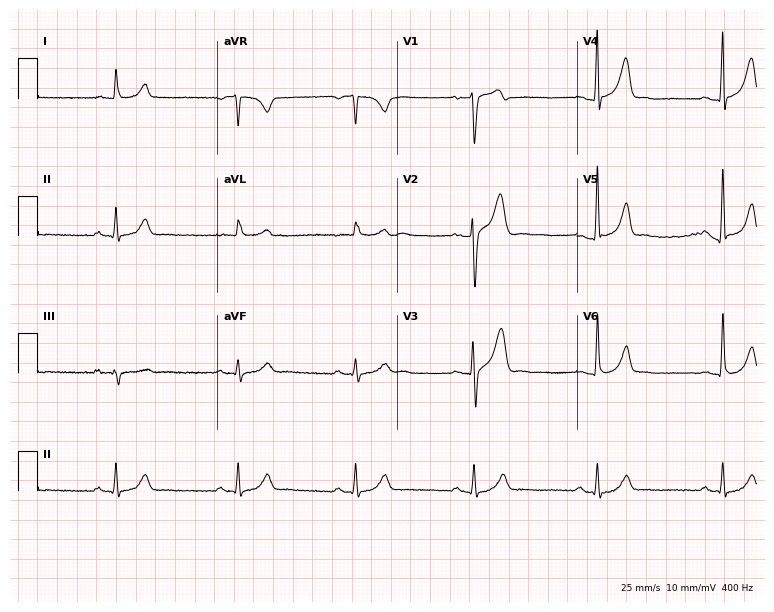
Resting 12-lead electrocardiogram (7.3-second recording at 400 Hz). Patient: a 51-year-old male. The tracing shows sinus bradycardia (a sinus rate of 50 beats per minute or less).